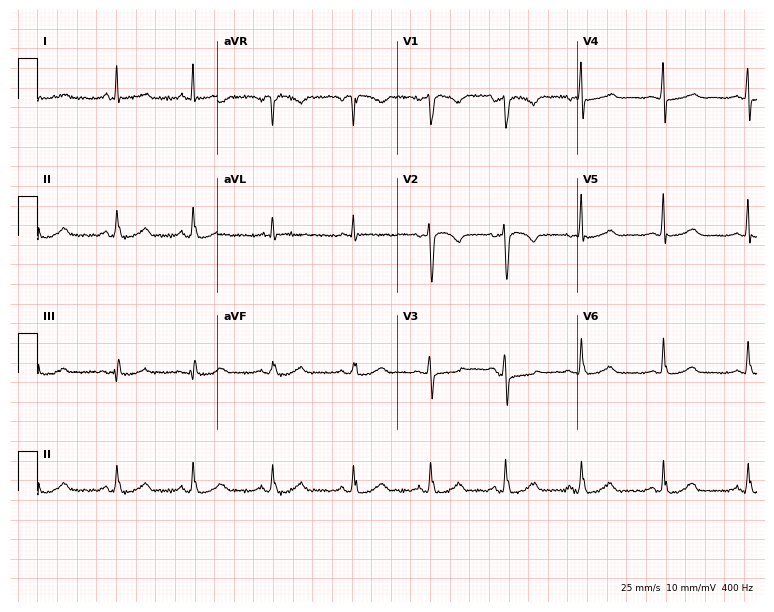
Resting 12-lead electrocardiogram. Patient: a female, 46 years old. None of these six findings is recorded: first-degree AV block, right bundle branch block, left bundle branch block, sinus bradycardia, atrial fibrillation, sinus tachycardia. Other findings, if any, are not listed.